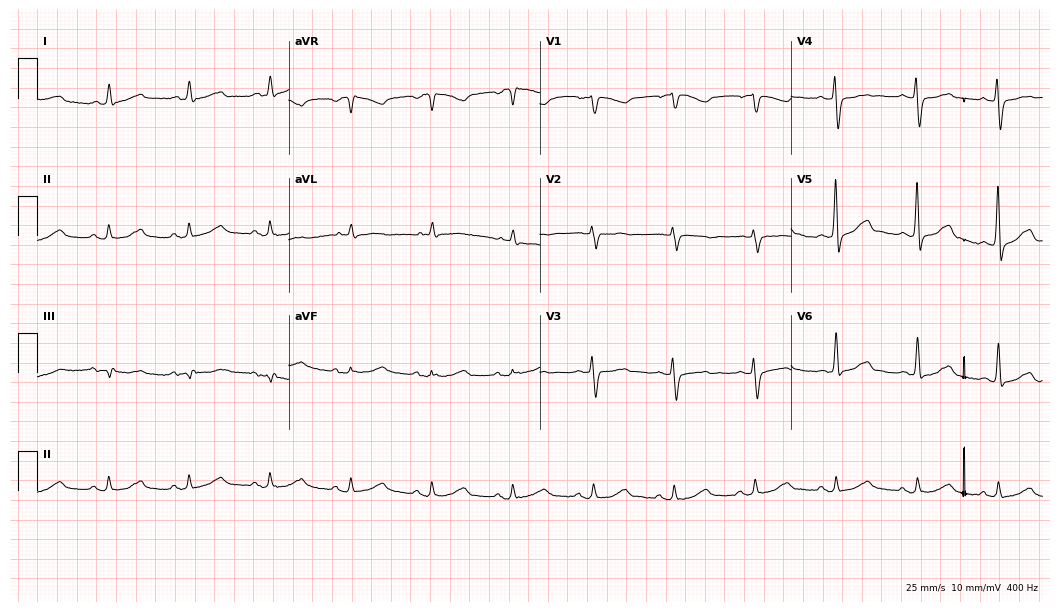
Electrocardiogram (10.2-second recording at 400 Hz), a woman, 78 years old. Of the six screened findings (first-degree AV block, right bundle branch block, left bundle branch block, sinus bradycardia, atrial fibrillation, sinus tachycardia), none is recorded. Findings outside these six are not listed.